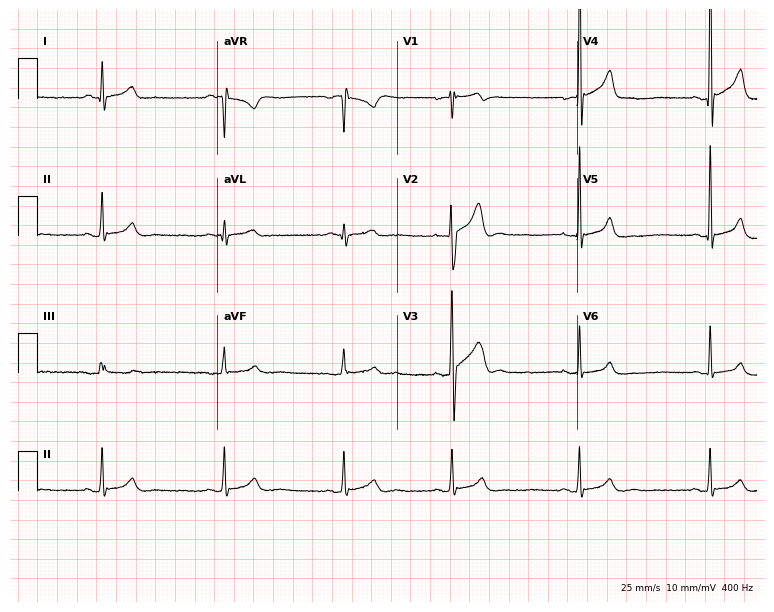
ECG — a man, 26 years old. Labelled as a normal ECG.